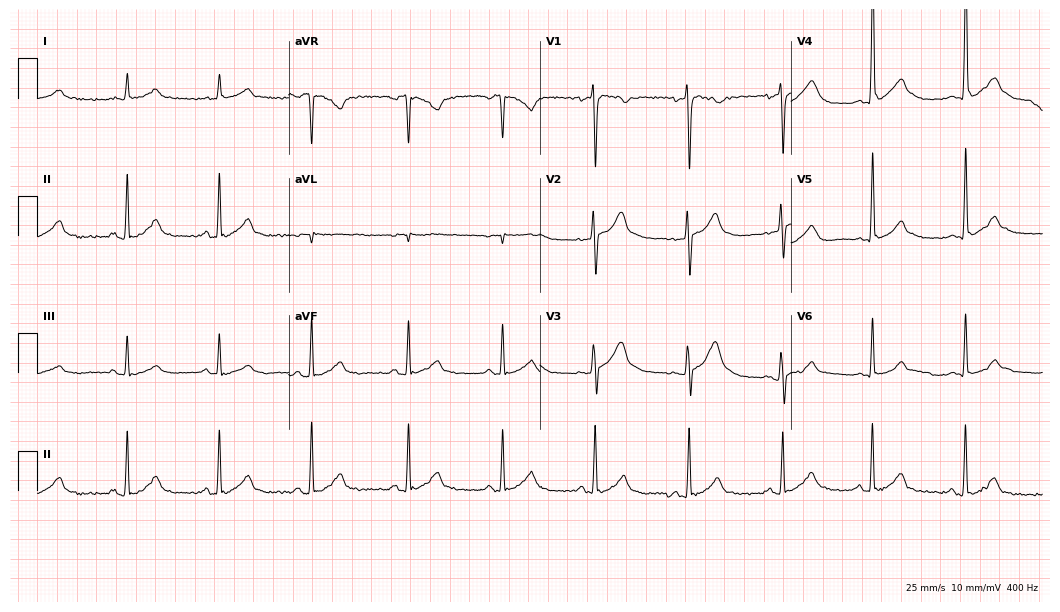
12-lead ECG from a male, 24 years old. Screened for six findings — first-degree AV block, right bundle branch block, left bundle branch block, sinus bradycardia, atrial fibrillation, sinus tachycardia — none is recorded. Findings outside these six are not listed.